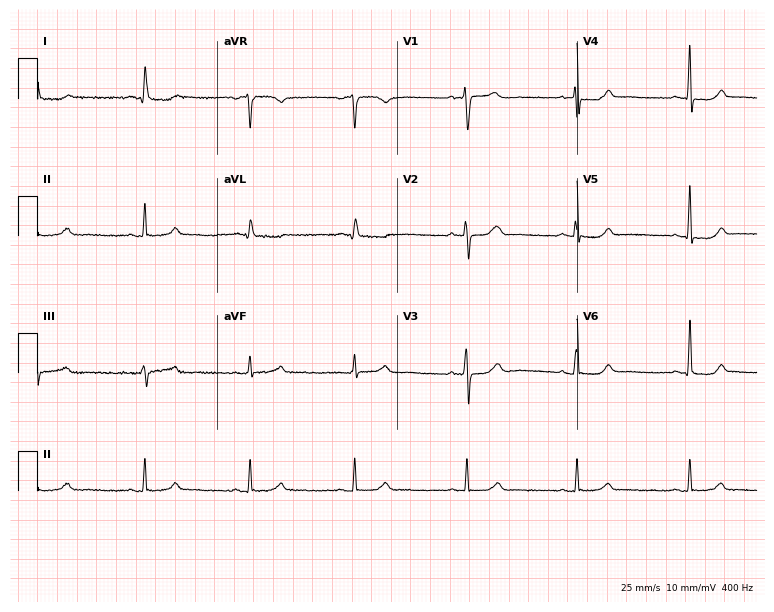
12-lead ECG (7.3-second recording at 400 Hz) from a 61-year-old female. Screened for six findings — first-degree AV block, right bundle branch block, left bundle branch block, sinus bradycardia, atrial fibrillation, sinus tachycardia — none is recorded.